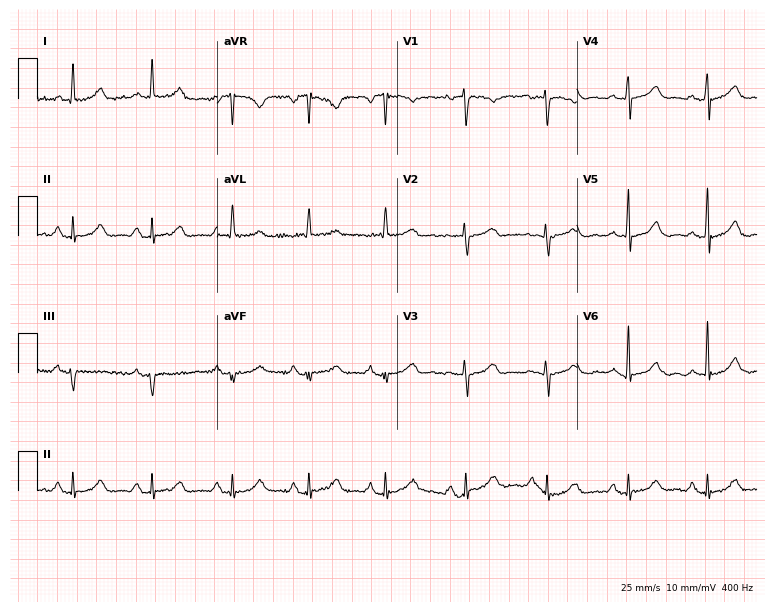
12-lead ECG (7.3-second recording at 400 Hz) from a female, 64 years old. Screened for six findings — first-degree AV block, right bundle branch block (RBBB), left bundle branch block (LBBB), sinus bradycardia, atrial fibrillation (AF), sinus tachycardia — none is recorded. Only these six findings were labelled.